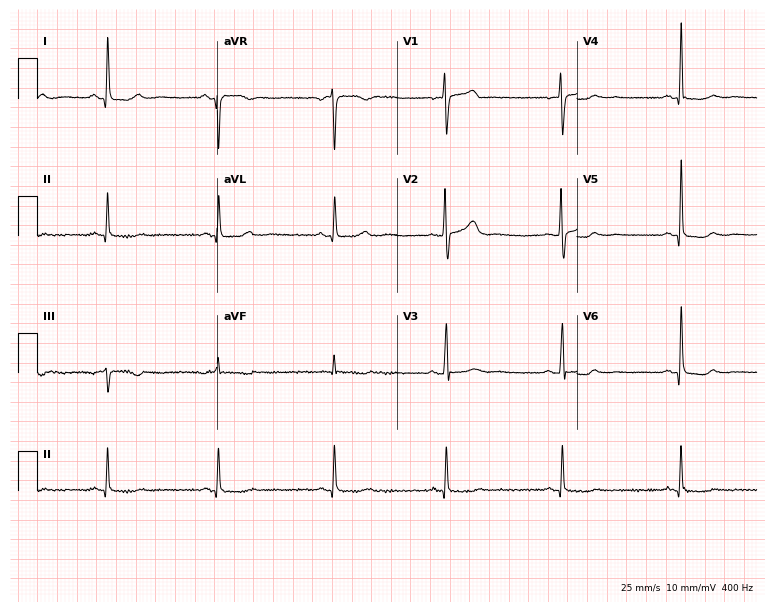
12-lead ECG from a 60-year-old female. Screened for six findings — first-degree AV block, right bundle branch block (RBBB), left bundle branch block (LBBB), sinus bradycardia, atrial fibrillation (AF), sinus tachycardia — none is recorded.